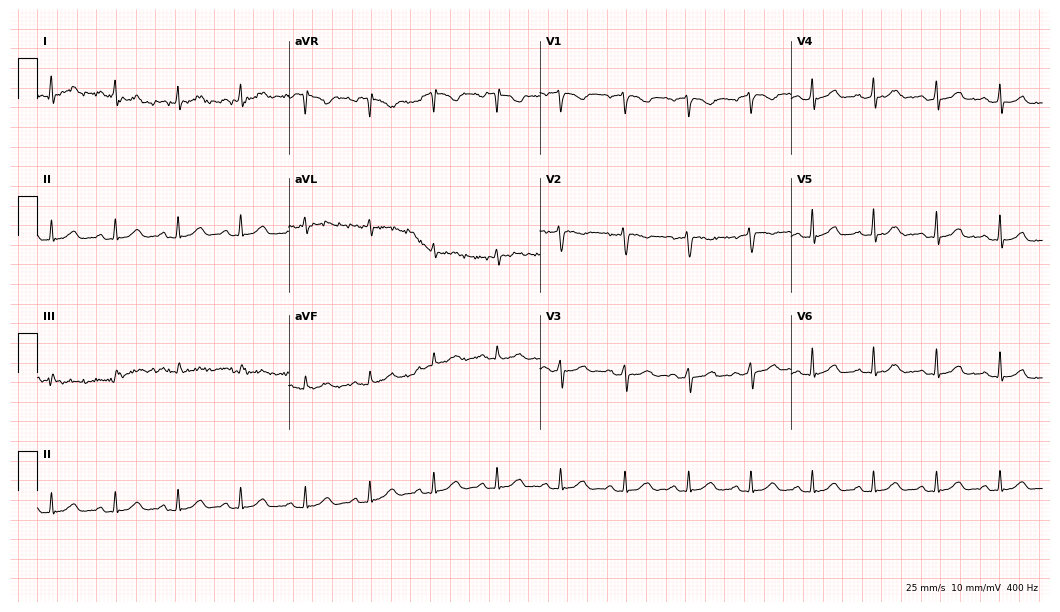
Resting 12-lead electrocardiogram. Patient: a female, 37 years old. Read as a normal ECG.